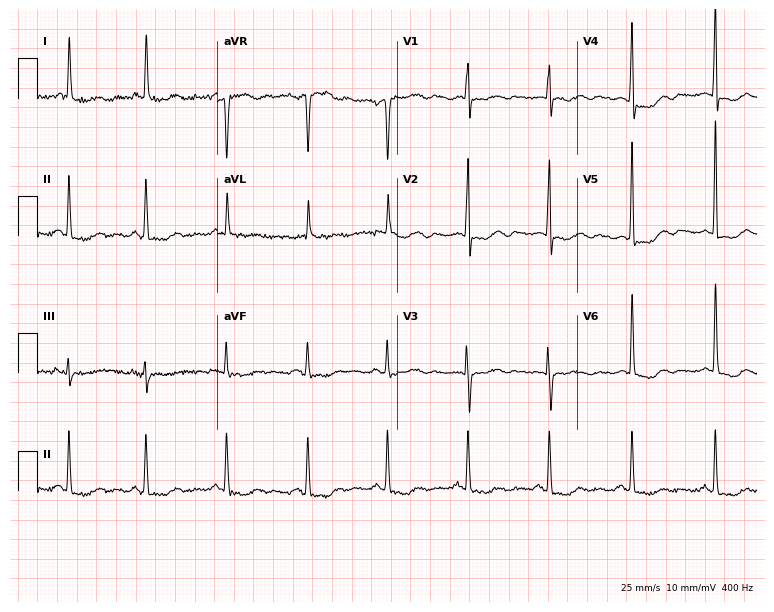
12-lead ECG (7.3-second recording at 400 Hz) from a 72-year-old female. Labelled as a normal ECG.